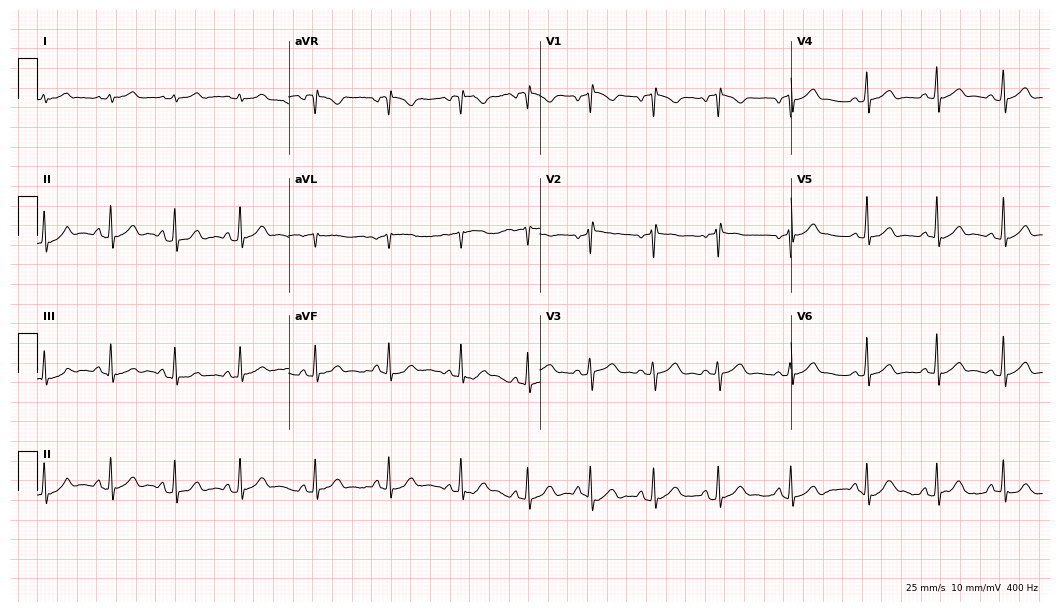
Standard 12-lead ECG recorded from a female patient, 25 years old. None of these six findings is recorded: first-degree AV block, right bundle branch block (RBBB), left bundle branch block (LBBB), sinus bradycardia, atrial fibrillation (AF), sinus tachycardia.